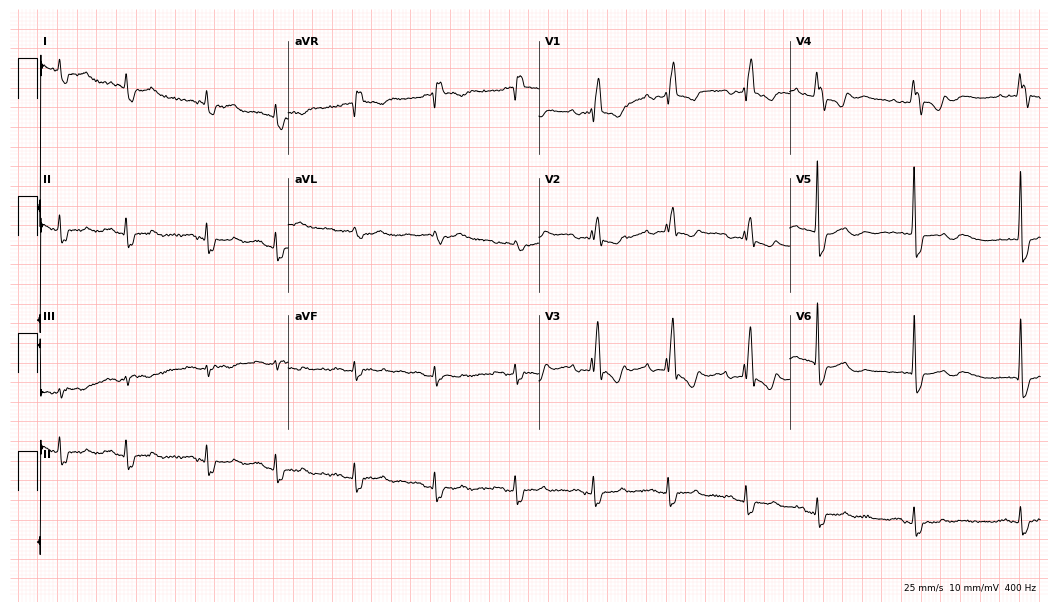
12-lead ECG from a 77-year-old man. Shows right bundle branch block.